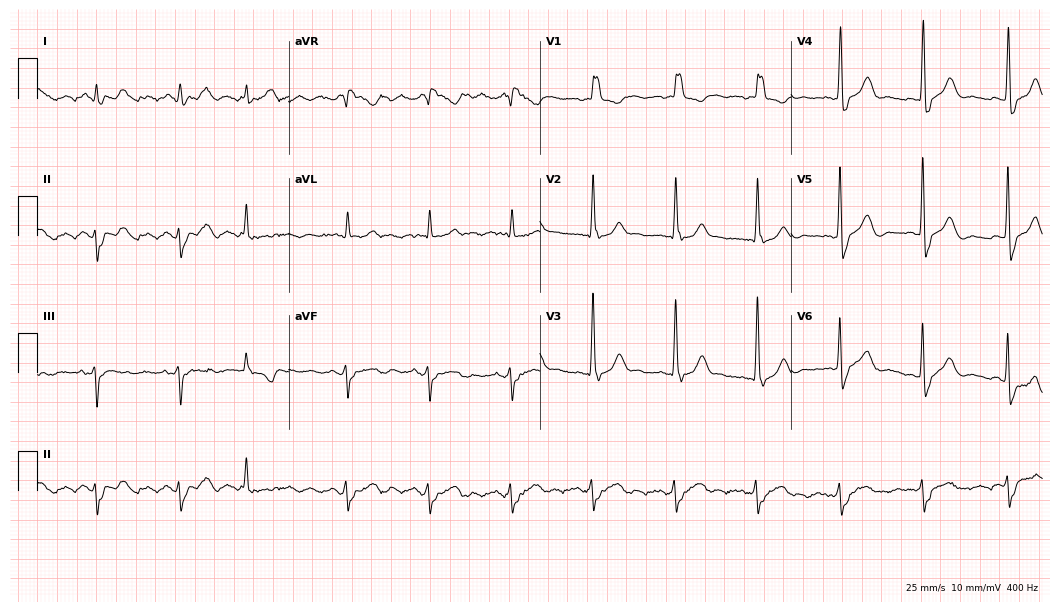
12-lead ECG from an 84-year-old man (10.2-second recording at 400 Hz). No first-degree AV block, right bundle branch block, left bundle branch block, sinus bradycardia, atrial fibrillation or sinus tachycardia recorded for this tracing.